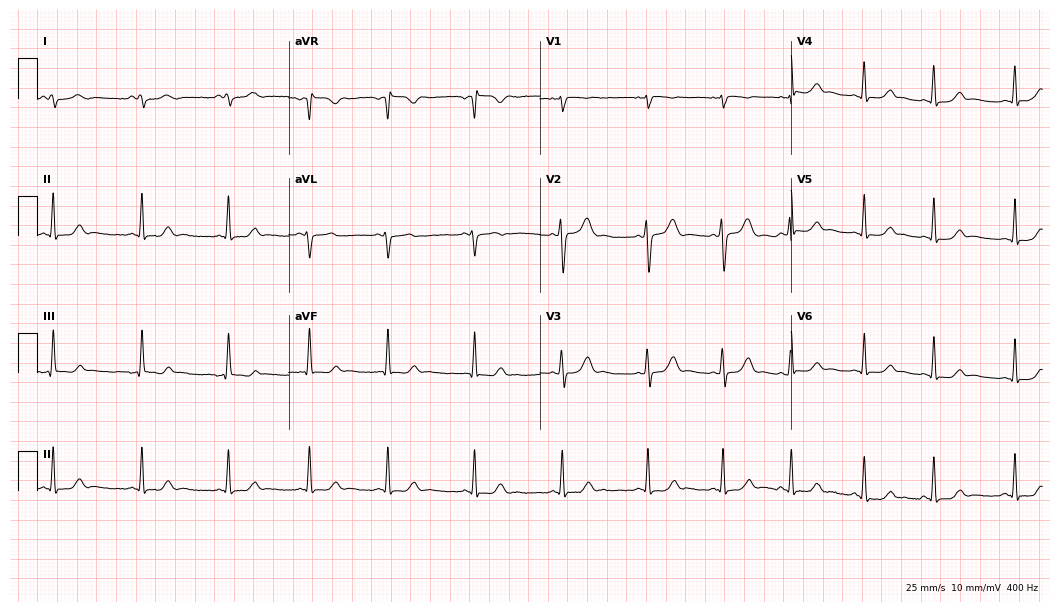
ECG — a 20-year-old woman. Screened for six findings — first-degree AV block, right bundle branch block (RBBB), left bundle branch block (LBBB), sinus bradycardia, atrial fibrillation (AF), sinus tachycardia — none is recorded. Only these six findings were labelled.